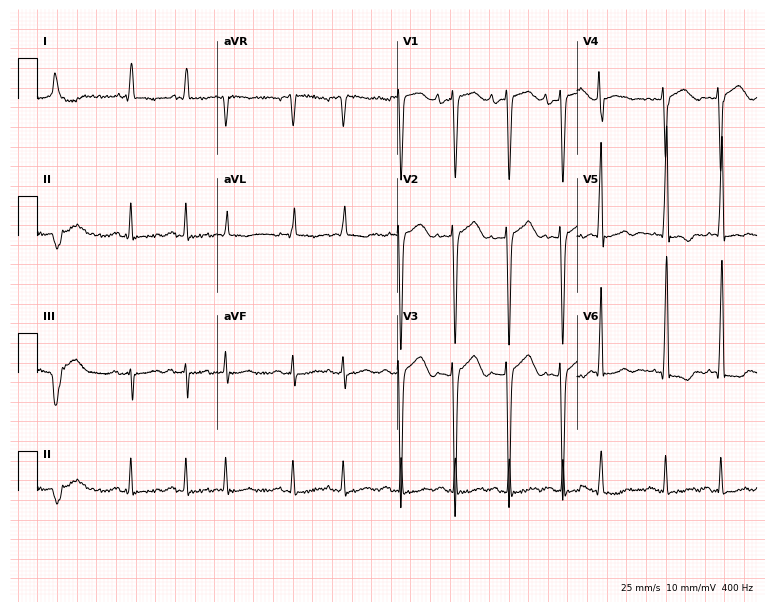
Resting 12-lead electrocardiogram. Patient: a male, 70 years old. The tracing shows atrial fibrillation.